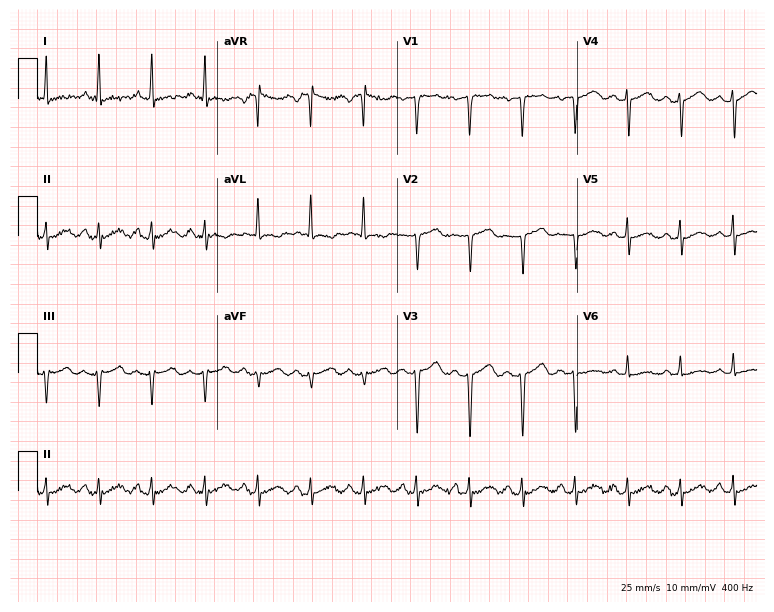
Standard 12-lead ECG recorded from a woman, 50 years old. None of these six findings is recorded: first-degree AV block, right bundle branch block (RBBB), left bundle branch block (LBBB), sinus bradycardia, atrial fibrillation (AF), sinus tachycardia. Other findings, if any, are not listed.